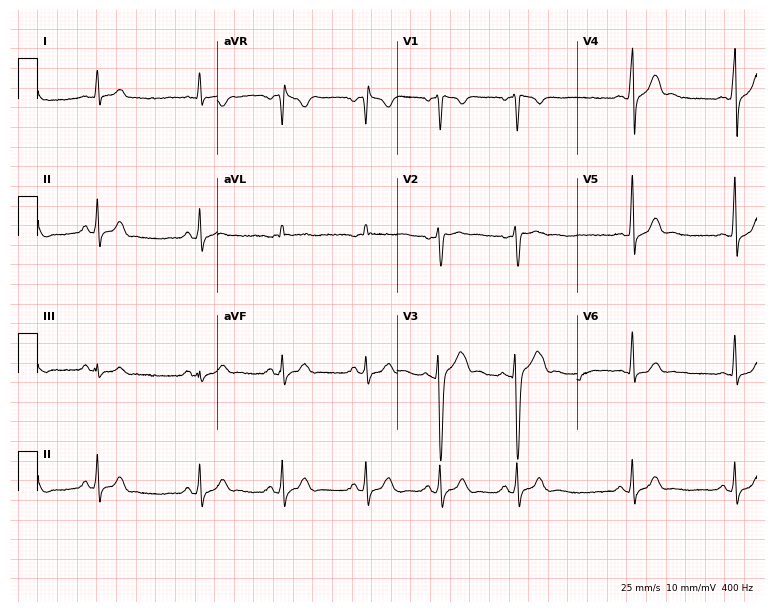
ECG (7.3-second recording at 400 Hz) — a 23-year-old male patient. Labelled as a normal ECG.